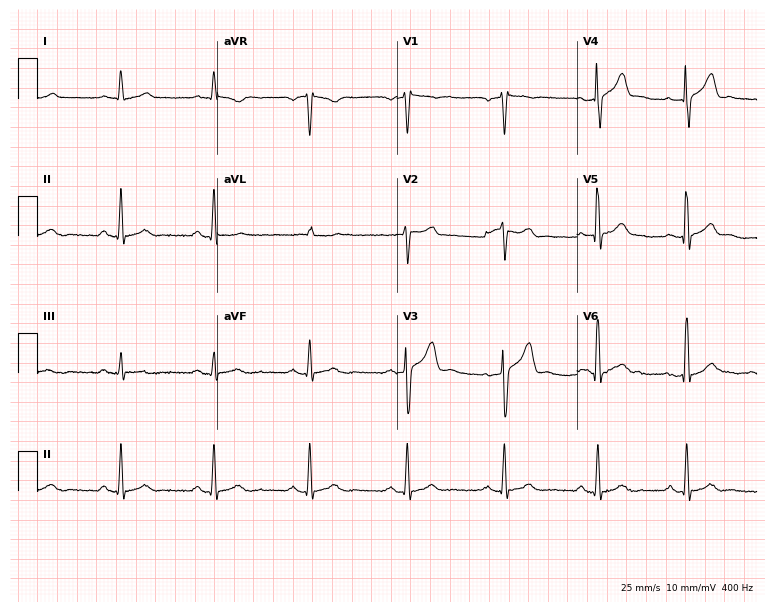
Electrocardiogram (7.3-second recording at 400 Hz), a 62-year-old male patient. Overall reading on record: normal ECG.